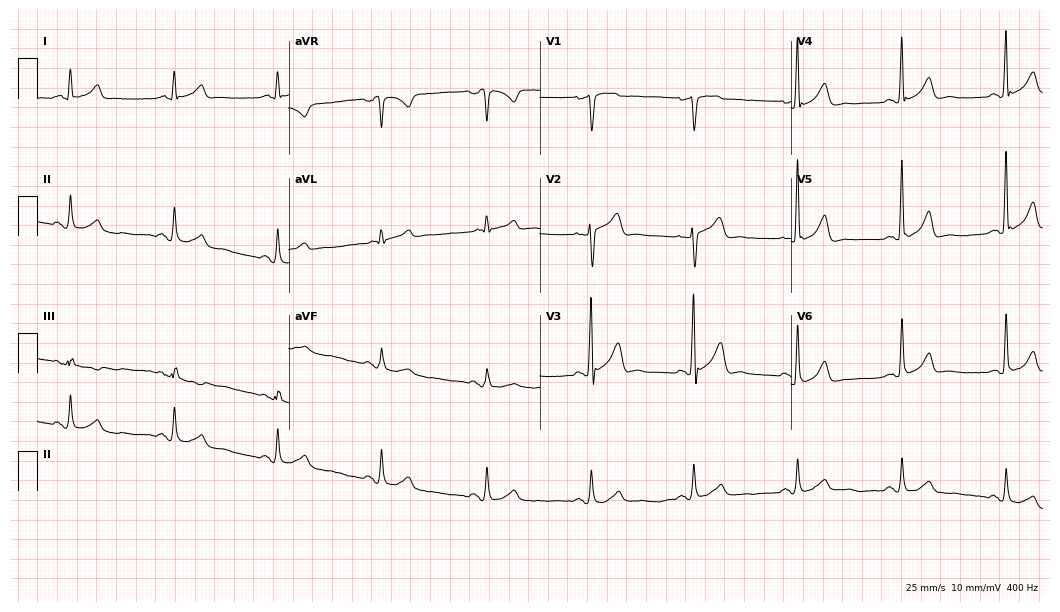
ECG (10.2-second recording at 400 Hz) — a 64-year-old male. Labelled as a normal ECG.